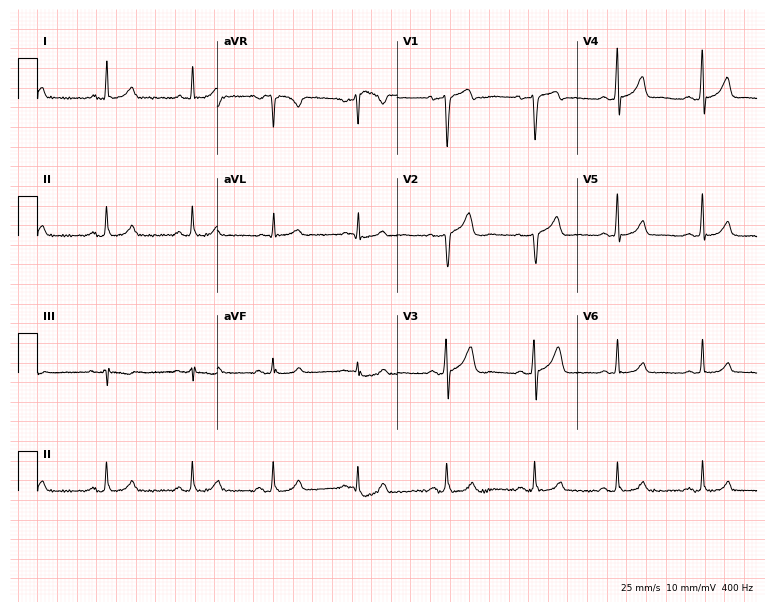
Electrocardiogram (7.3-second recording at 400 Hz), a 35-year-old male. Of the six screened findings (first-degree AV block, right bundle branch block, left bundle branch block, sinus bradycardia, atrial fibrillation, sinus tachycardia), none is recorded. Findings outside these six are not listed.